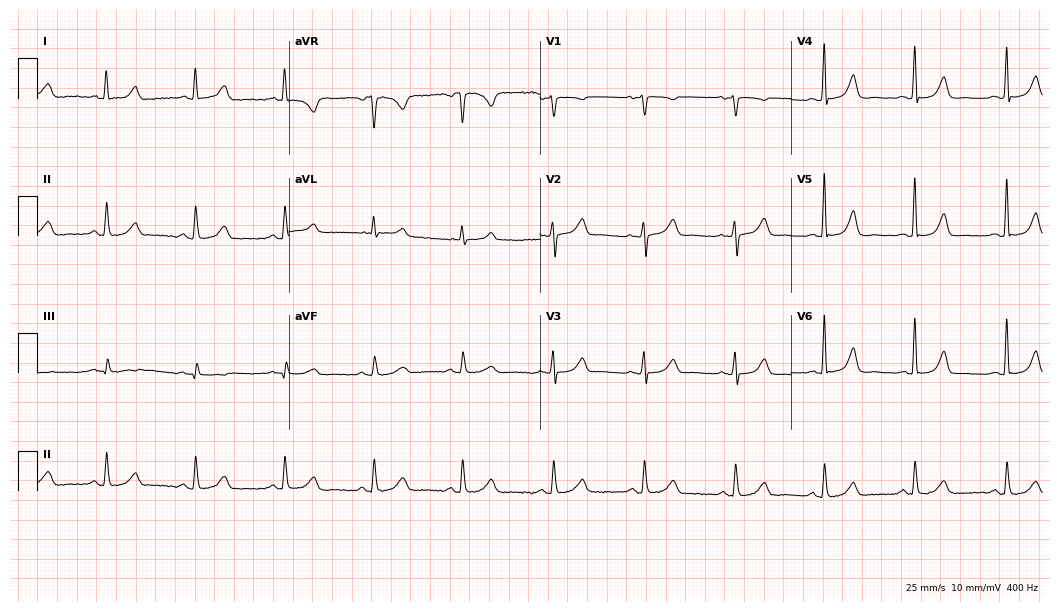
ECG — a 71-year-old woman. Labelled as a normal ECG.